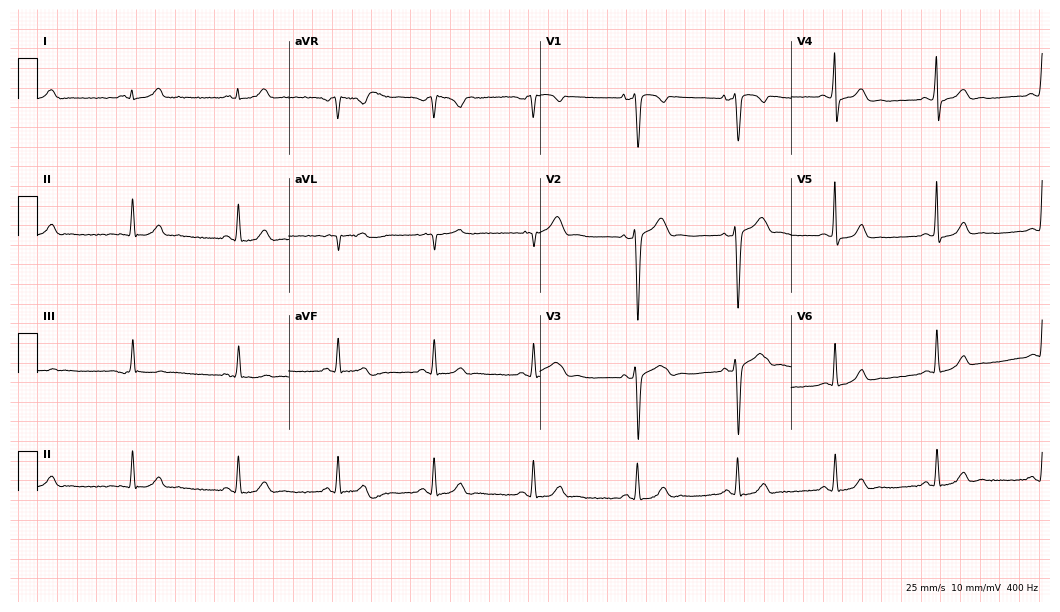
ECG — a 34-year-old man. Screened for six findings — first-degree AV block, right bundle branch block (RBBB), left bundle branch block (LBBB), sinus bradycardia, atrial fibrillation (AF), sinus tachycardia — none is recorded.